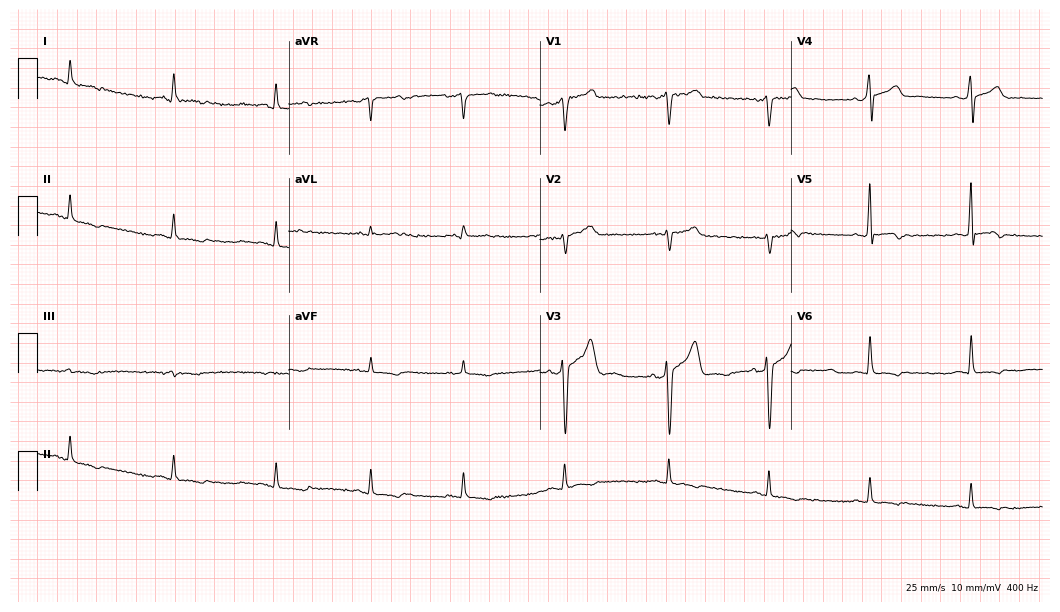
Electrocardiogram, a male, 32 years old. Of the six screened findings (first-degree AV block, right bundle branch block, left bundle branch block, sinus bradycardia, atrial fibrillation, sinus tachycardia), none is recorded. Other findings, if any, are not listed.